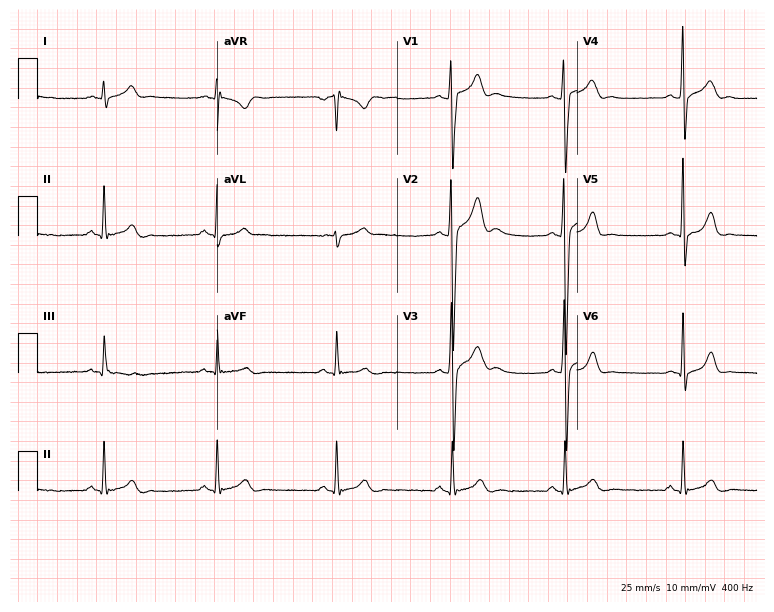
Standard 12-lead ECG recorded from a male, 20 years old (7.3-second recording at 400 Hz). None of these six findings is recorded: first-degree AV block, right bundle branch block, left bundle branch block, sinus bradycardia, atrial fibrillation, sinus tachycardia.